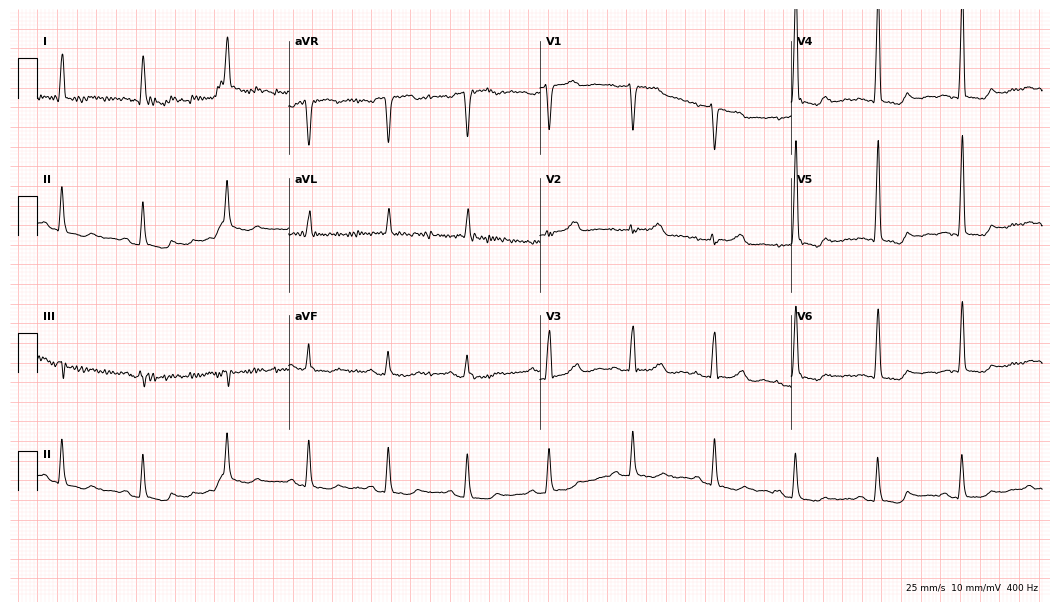
12-lead ECG from an 82-year-old male patient. Screened for six findings — first-degree AV block, right bundle branch block, left bundle branch block, sinus bradycardia, atrial fibrillation, sinus tachycardia — none is recorded. Findings outside these six are not listed.